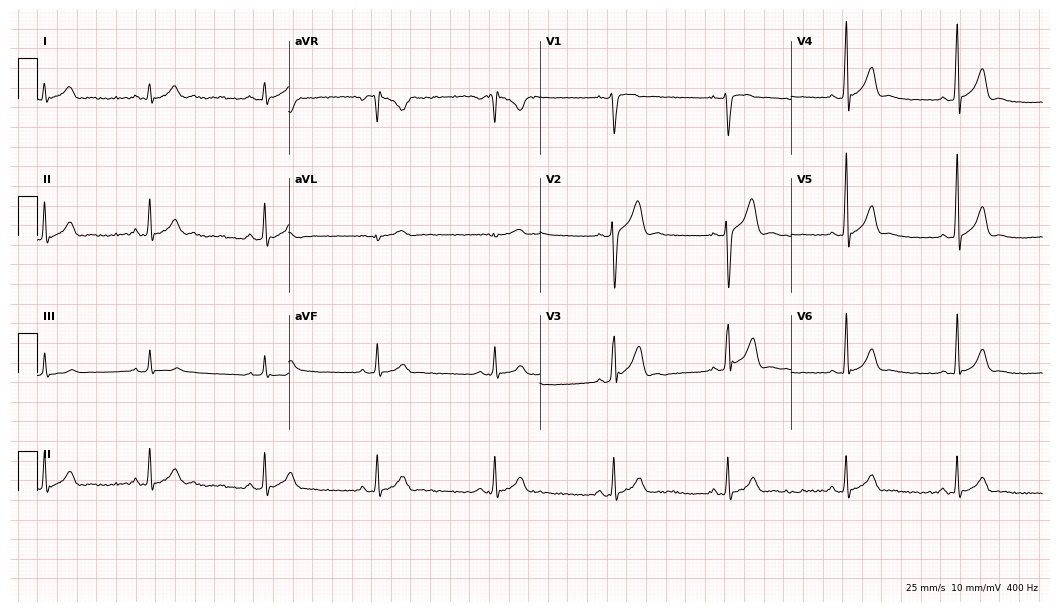
12-lead ECG (10.2-second recording at 400 Hz) from a 17-year-old man. Labelled as a normal ECG.